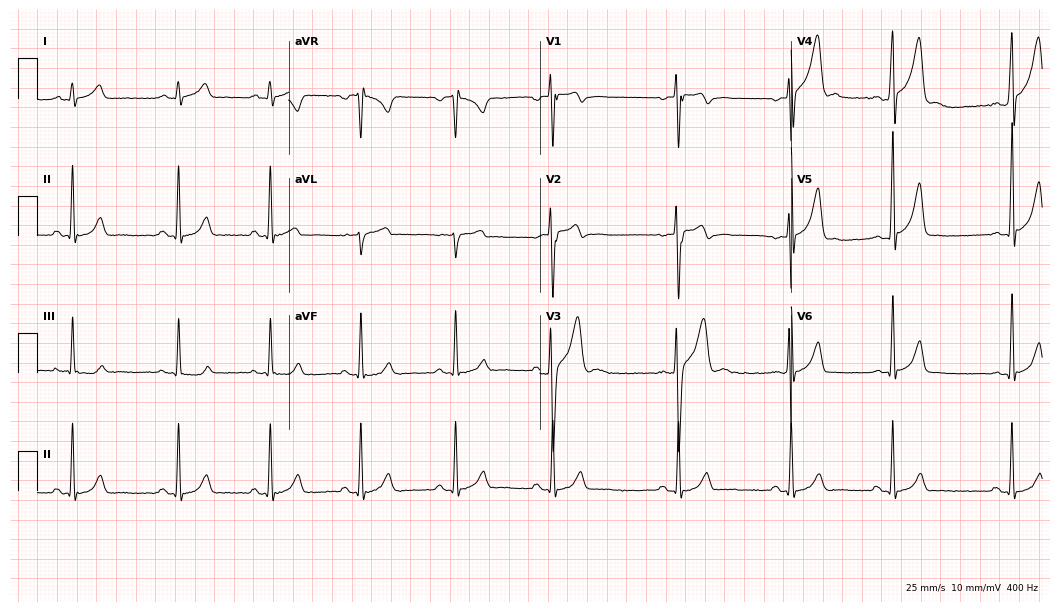
Electrocardiogram (10.2-second recording at 400 Hz), a 17-year-old male patient. Overall reading on record: normal ECG.